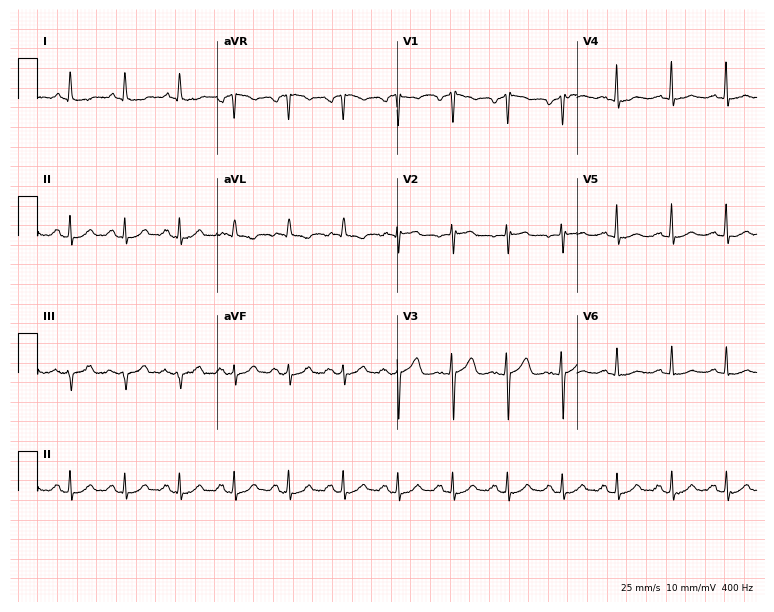
12-lead ECG from a 57-year-old male patient (7.3-second recording at 400 Hz). Shows sinus tachycardia (a sinus rate of 100 beats per minute or more).